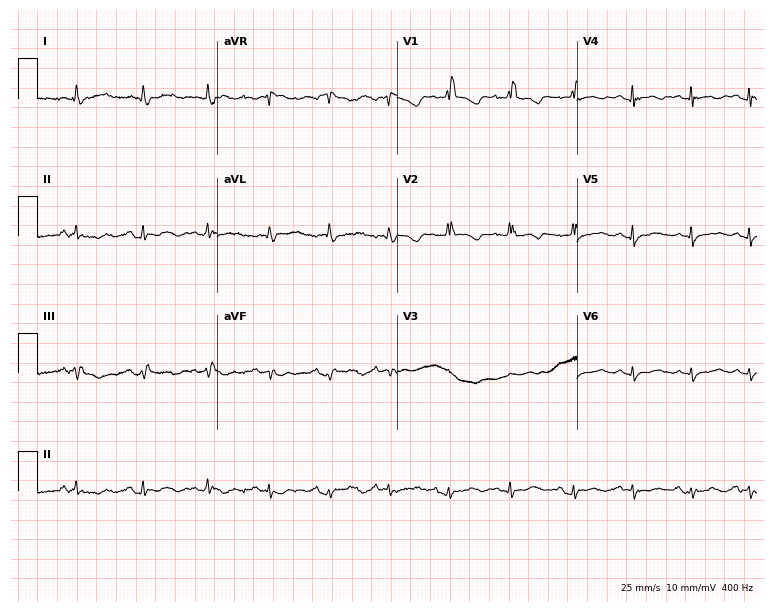
Standard 12-lead ECG recorded from an 80-year-old female. None of these six findings is recorded: first-degree AV block, right bundle branch block (RBBB), left bundle branch block (LBBB), sinus bradycardia, atrial fibrillation (AF), sinus tachycardia.